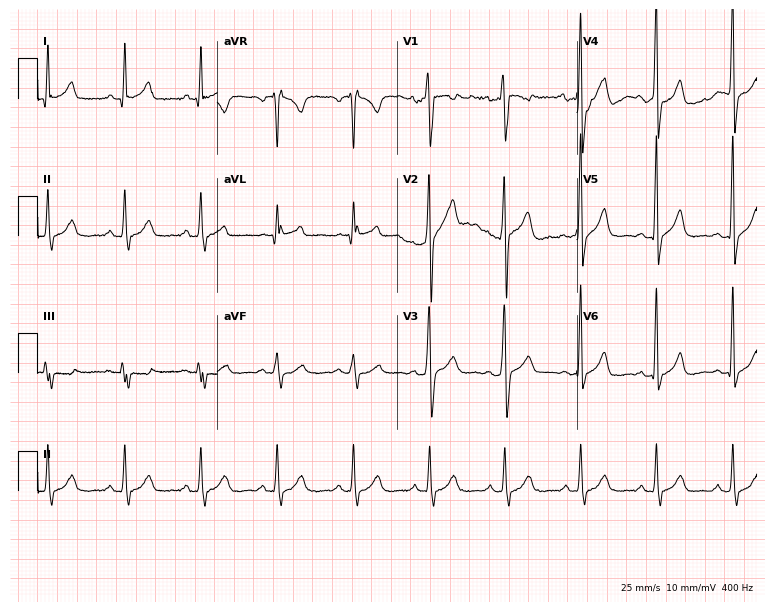
12-lead ECG from a man, 28 years old (7.3-second recording at 400 Hz). No first-degree AV block, right bundle branch block, left bundle branch block, sinus bradycardia, atrial fibrillation or sinus tachycardia recorded for this tracing. Other findings, if any, are not listed.